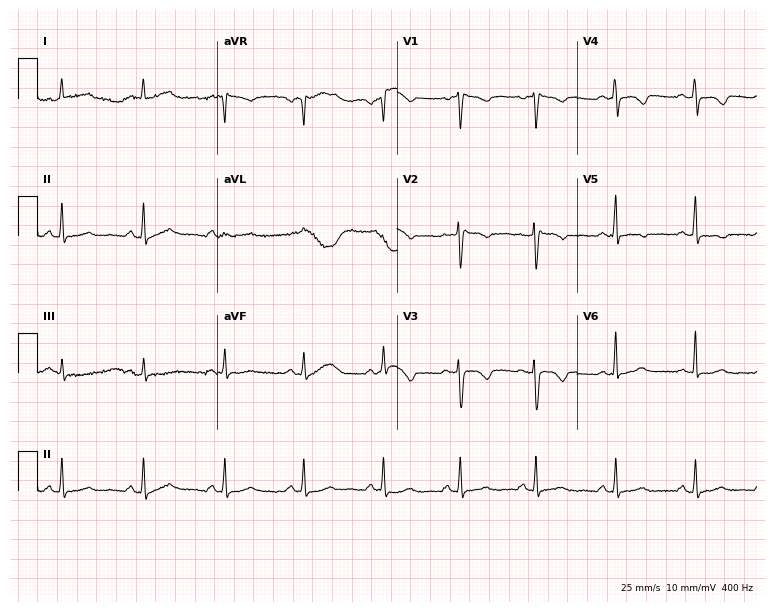
Electrocardiogram, a 40-year-old woman. Of the six screened findings (first-degree AV block, right bundle branch block, left bundle branch block, sinus bradycardia, atrial fibrillation, sinus tachycardia), none is recorded. Other findings, if any, are not listed.